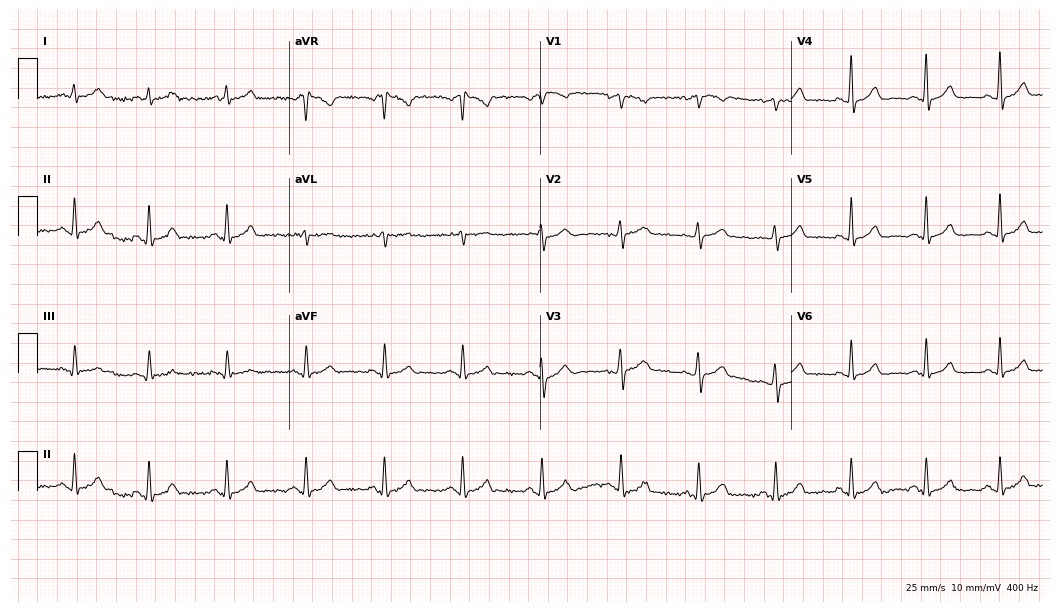
Resting 12-lead electrocardiogram (10.2-second recording at 400 Hz). Patient: a female, 43 years old. Read as a normal ECG.